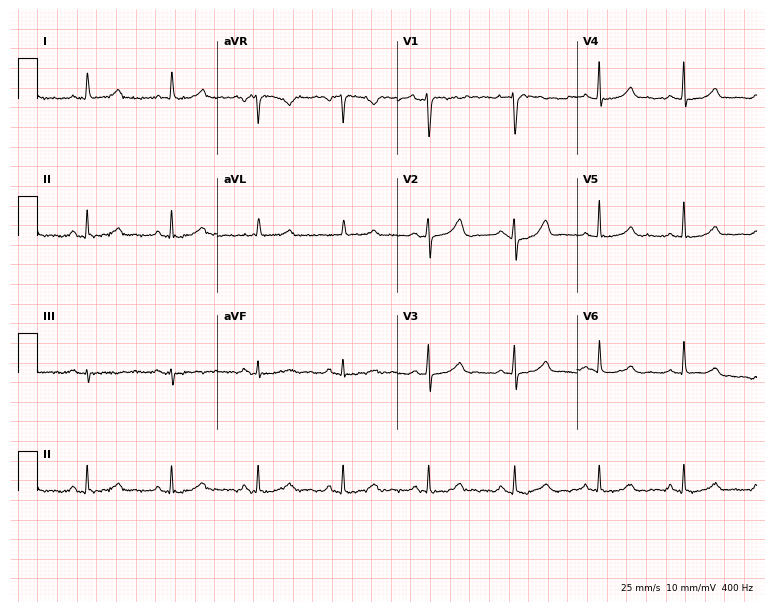
Electrocardiogram (7.3-second recording at 400 Hz), a female, 43 years old. Overall reading on record: normal ECG.